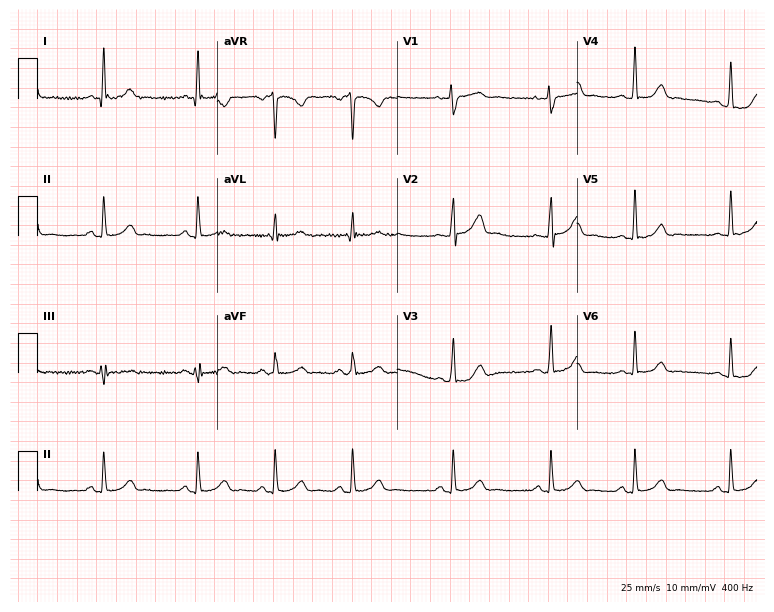
Resting 12-lead electrocardiogram (7.3-second recording at 400 Hz). Patient: a female, 25 years old. Read as a normal ECG.